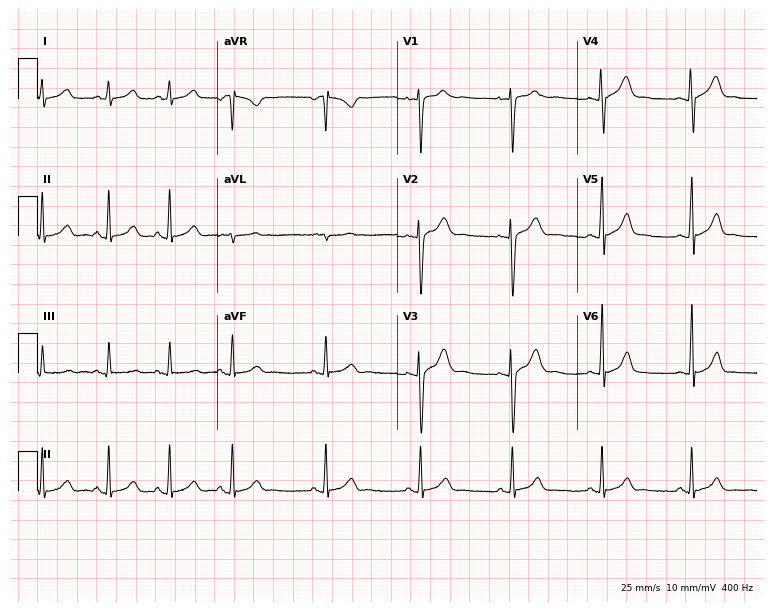
Electrocardiogram (7.3-second recording at 400 Hz), a female, 17 years old. Overall reading on record: normal ECG.